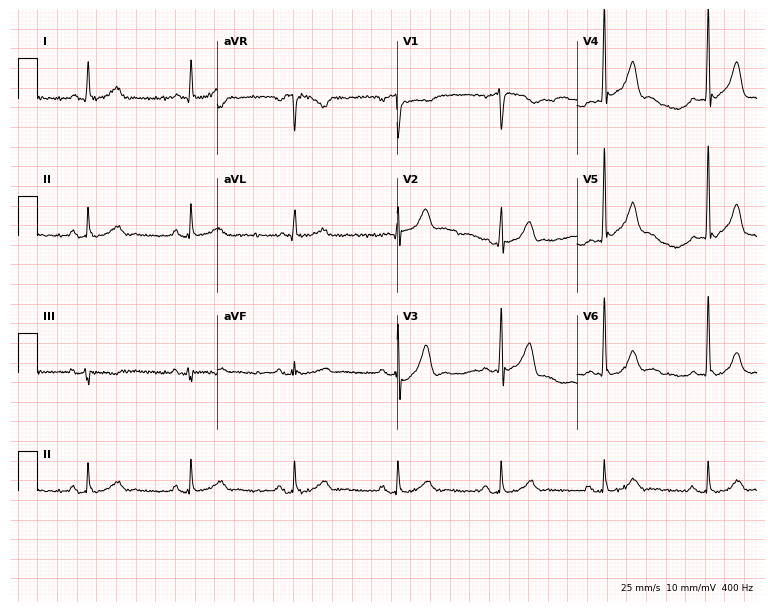
Standard 12-lead ECG recorded from a male patient, 70 years old (7.3-second recording at 400 Hz). Read as a normal ECG.